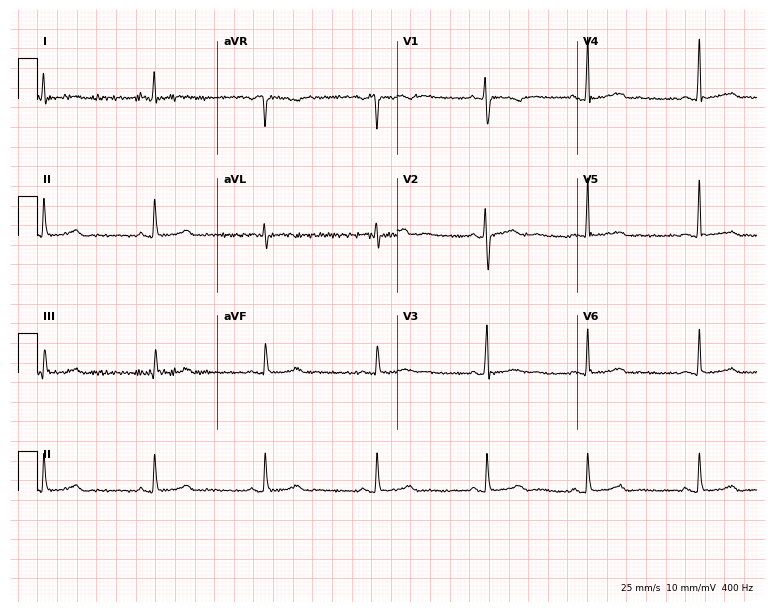
Resting 12-lead electrocardiogram. Patient: a woman, 26 years old. None of these six findings is recorded: first-degree AV block, right bundle branch block (RBBB), left bundle branch block (LBBB), sinus bradycardia, atrial fibrillation (AF), sinus tachycardia.